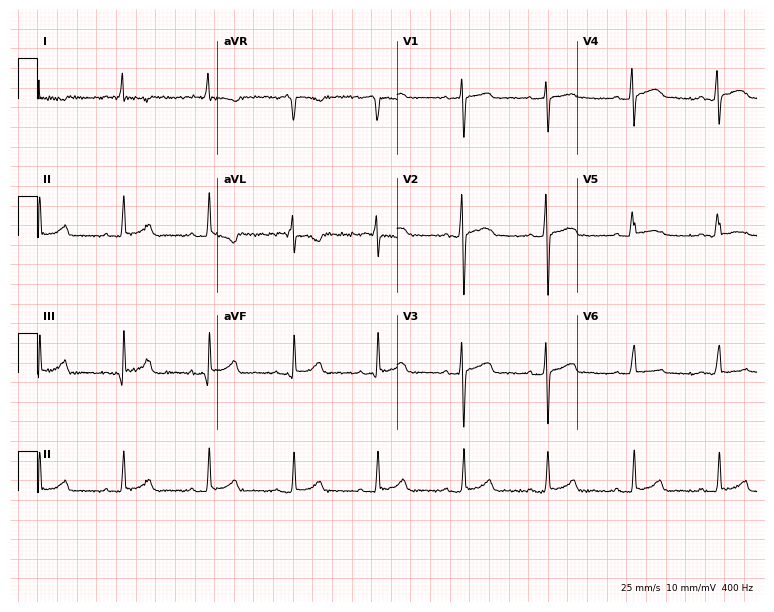
12-lead ECG from an 83-year-old woman. No first-degree AV block, right bundle branch block, left bundle branch block, sinus bradycardia, atrial fibrillation or sinus tachycardia recorded for this tracing. Only these six findings were labelled.